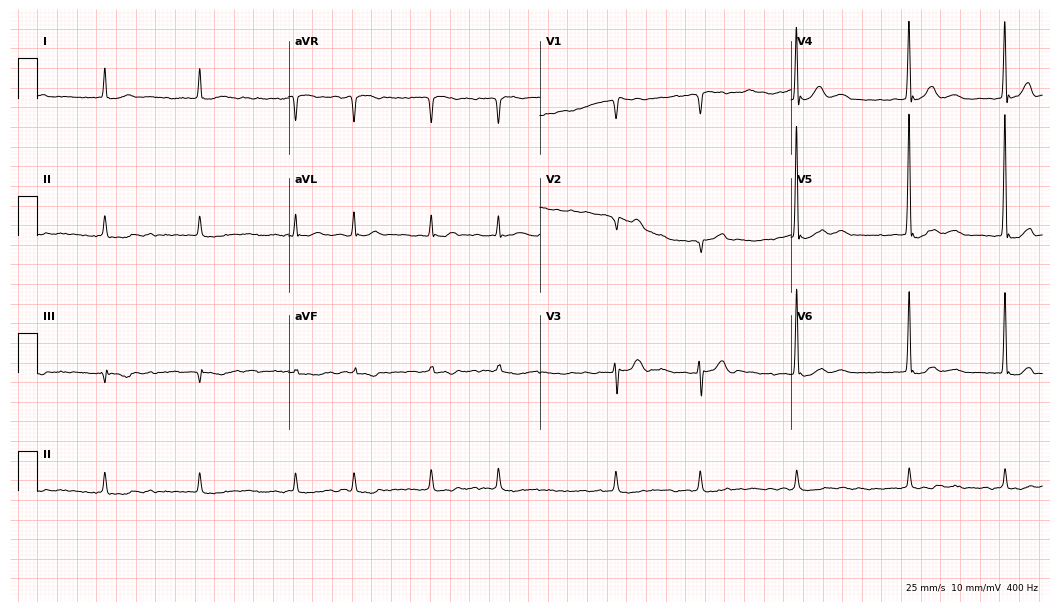
12-lead ECG from a male, 77 years old (10.2-second recording at 400 Hz). Shows atrial fibrillation.